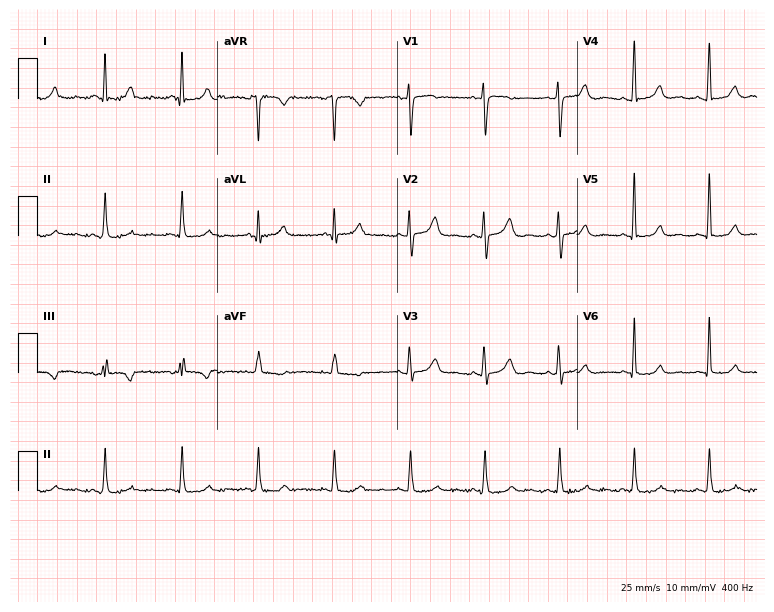
Standard 12-lead ECG recorded from a 63-year-old female patient. None of these six findings is recorded: first-degree AV block, right bundle branch block (RBBB), left bundle branch block (LBBB), sinus bradycardia, atrial fibrillation (AF), sinus tachycardia. Other findings, if any, are not listed.